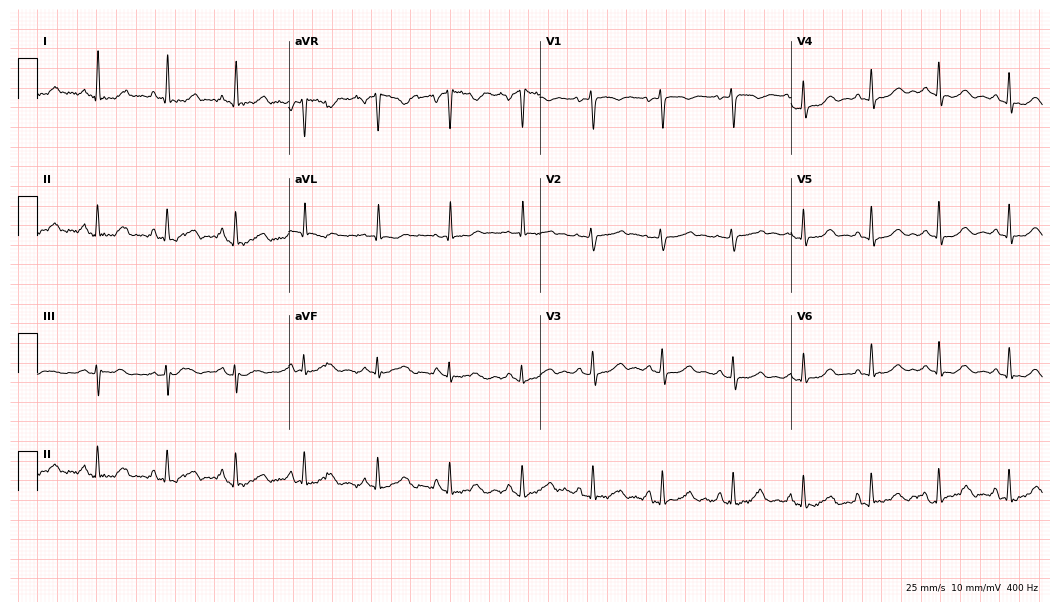
Resting 12-lead electrocardiogram. Patient: a woman, 53 years old. None of these six findings is recorded: first-degree AV block, right bundle branch block, left bundle branch block, sinus bradycardia, atrial fibrillation, sinus tachycardia.